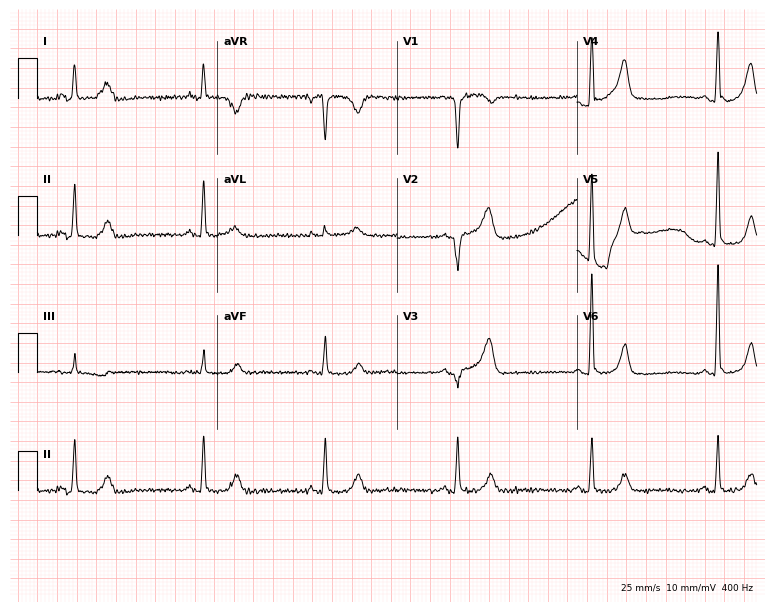
12-lead ECG from a 71-year-old female patient. Findings include sinus bradycardia (a sinus rate of 50 beats per minute or less).